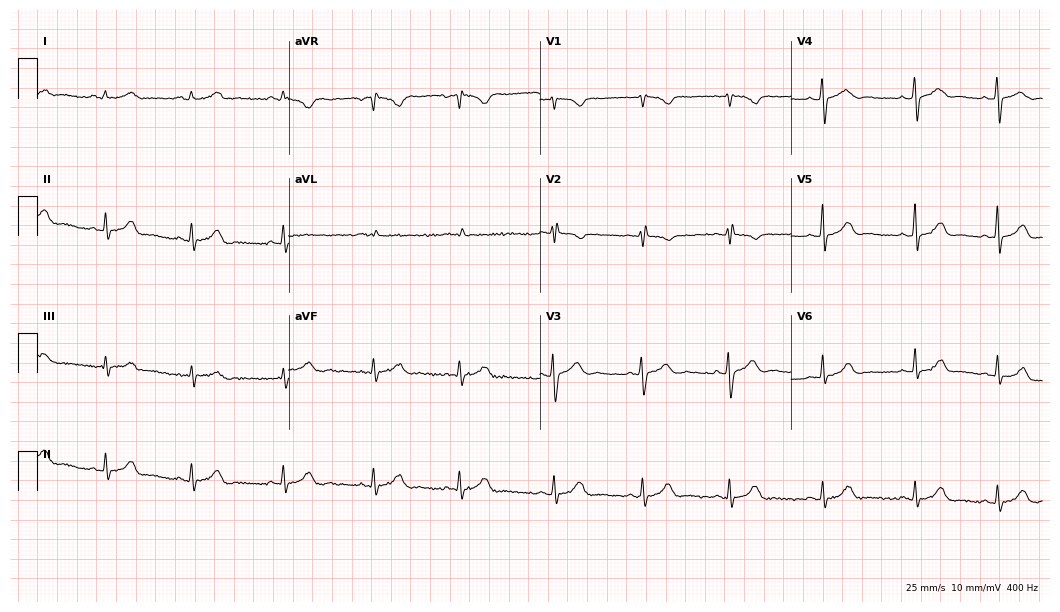
12-lead ECG from a 22-year-old female patient (10.2-second recording at 400 Hz). Recorded interpretation: within normal limits.